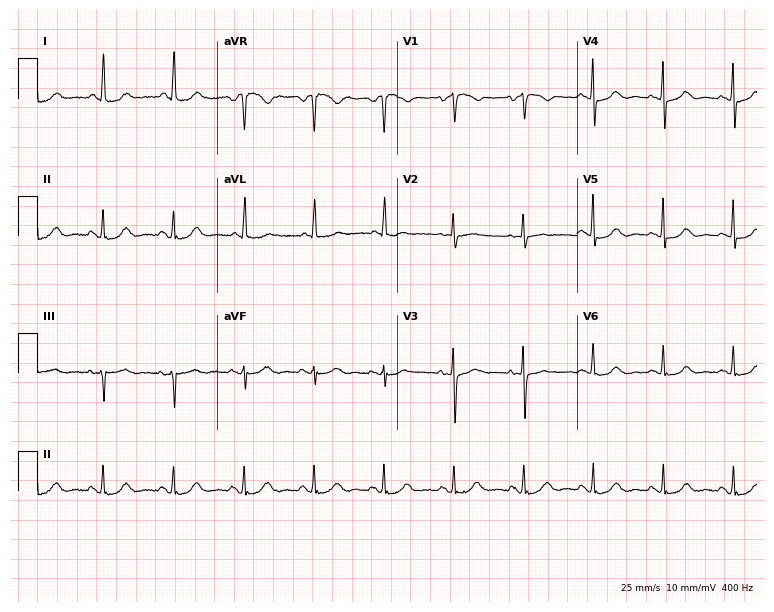
Resting 12-lead electrocardiogram. Patient: a female, 74 years old. Read as a normal ECG.